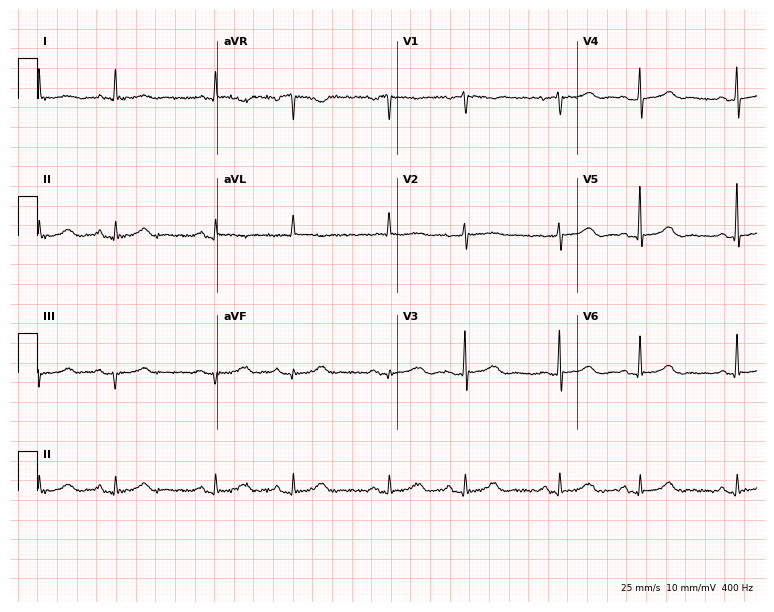
Electrocardiogram (7.3-second recording at 400 Hz), a female patient, 53 years old. Overall reading on record: normal ECG.